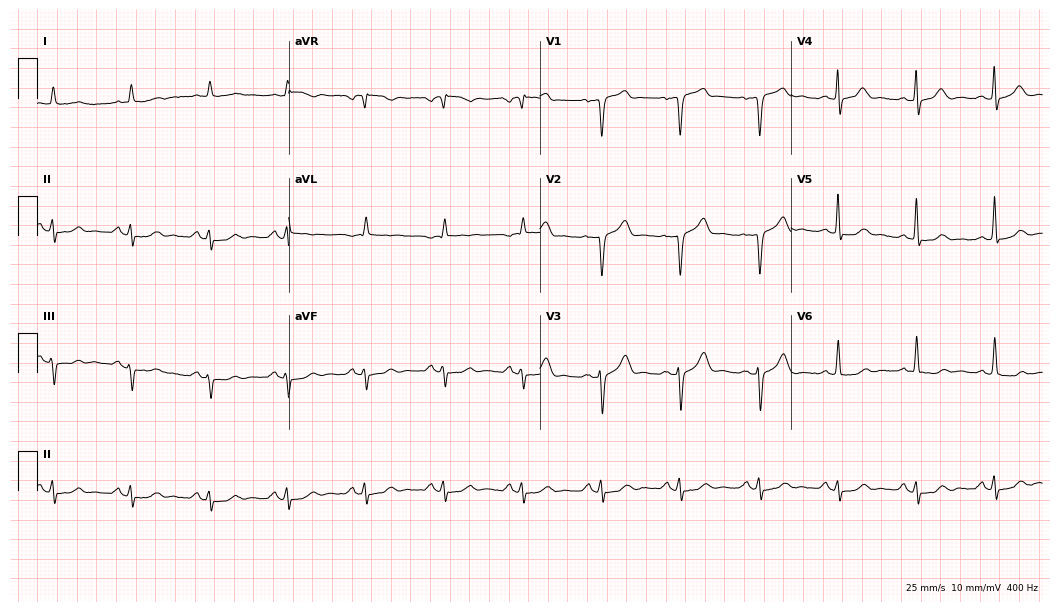
Resting 12-lead electrocardiogram. Patient: a 70-year-old male. Read as a normal ECG.